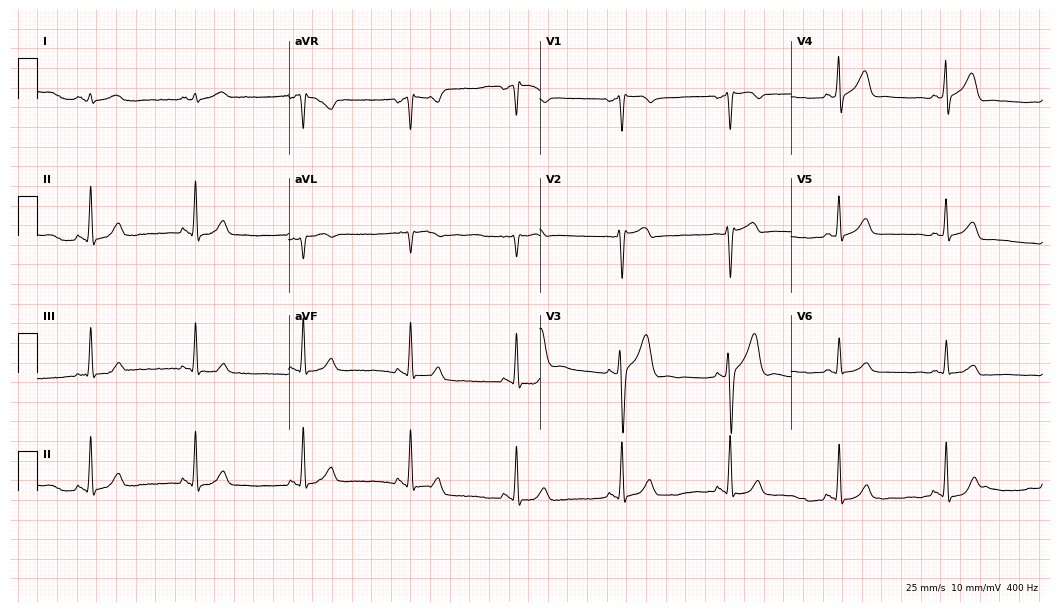
Standard 12-lead ECG recorded from a male, 53 years old. Read as a normal ECG.